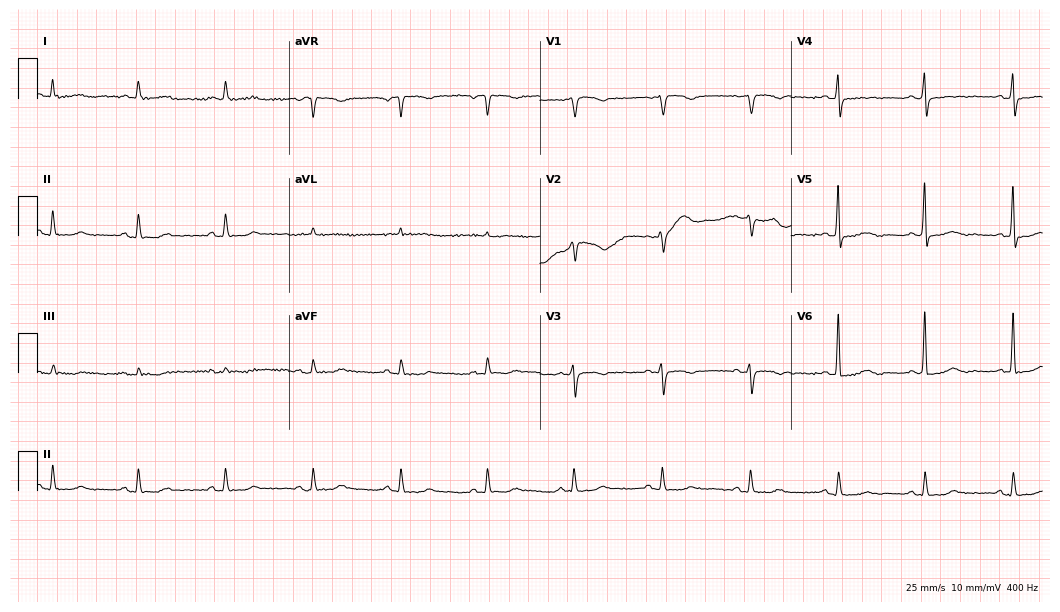
12-lead ECG from an 85-year-old female patient. Screened for six findings — first-degree AV block, right bundle branch block, left bundle branch block, sinus bradycardia, atrial fibrillation, sinus tachycardia — none is recorded. Other findings, if any, are not listed.